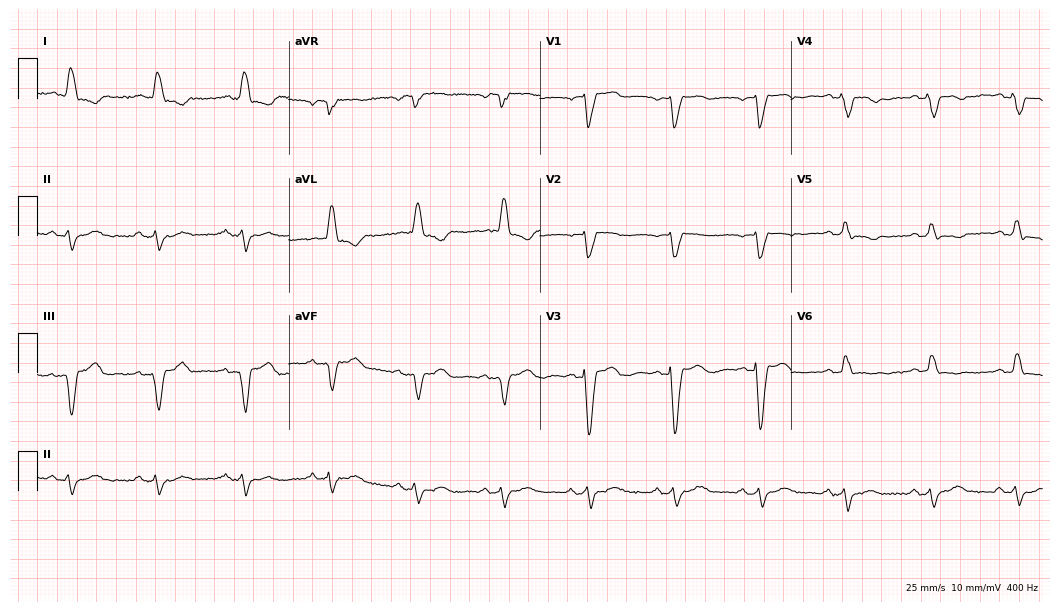
Resting 12-lead electrocardiogram. Patient: a woman, 75 years old. The tracing shows left bundle branch block (LBBB).